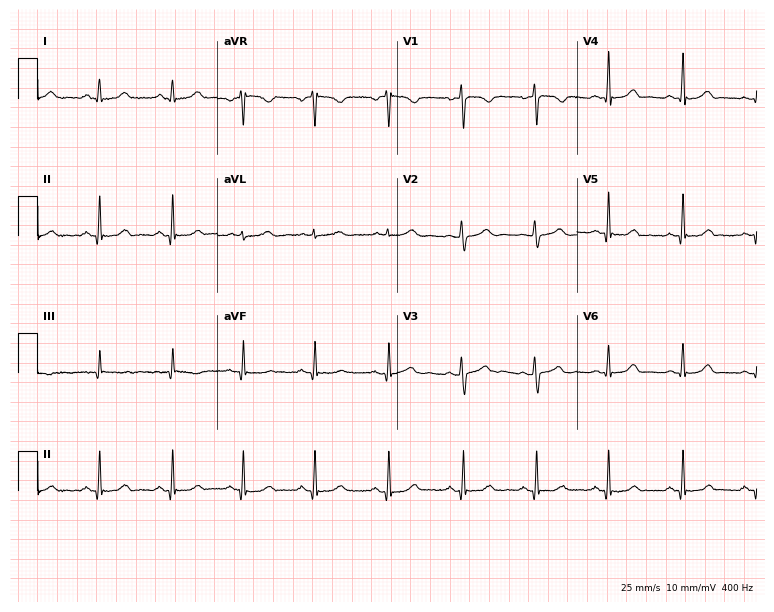
Standard 12-lead ECG recorded from a 26-year-old female (7.3-second recording at 400 Hz). Read as a normal ECG.